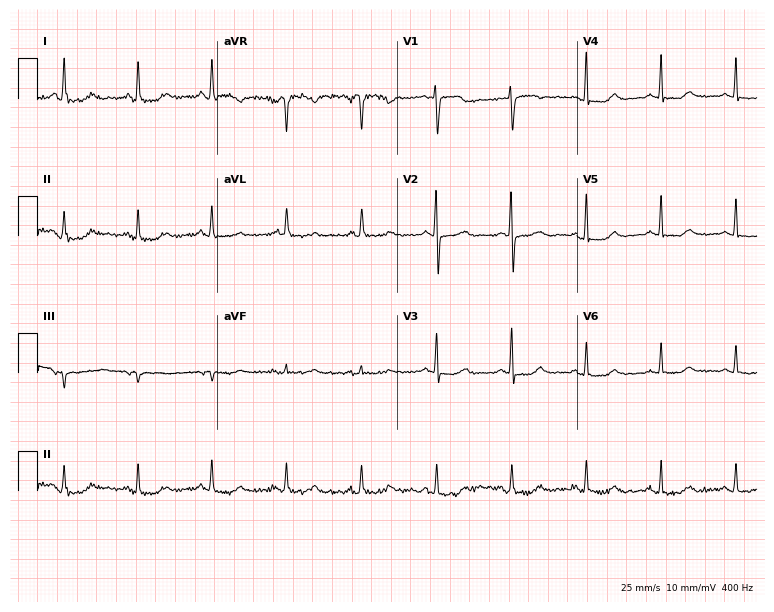
Resting 12-lead electrocardiogram (7.3-second recording at 400 Hz). Patient: a female, 79 years old. Read as a normal ECG.